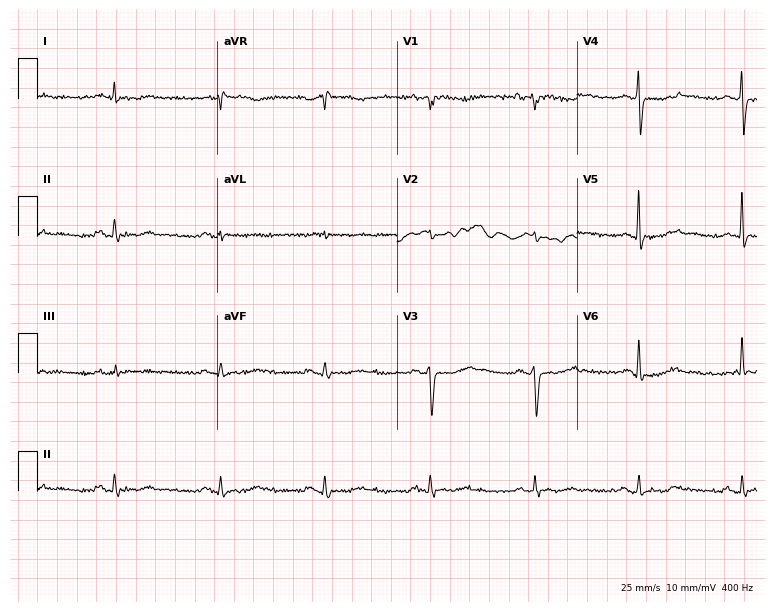
12-lead ECG from a man, 83 years old. Screened for six findings — first-degree AV block, right bundle branch block, left bundle branch block, sinus bradycardia, atrial fibrillation, sinus tachycardia — none is recorded.